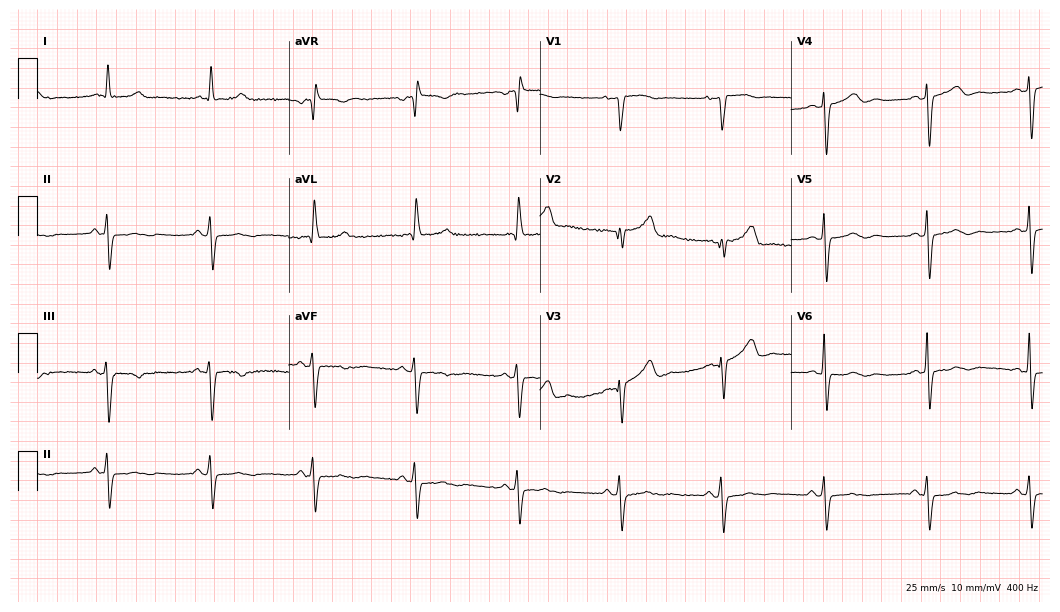
12-lead ECG (10.2-second recording at 400 Hz) from an 83-year-old man. Screened for six findings — first-degree AV block, right bundle branch block, left bundle branch block, sinus bradycardia, atrial fibrillation, sinus tachycardia — none is recorded.